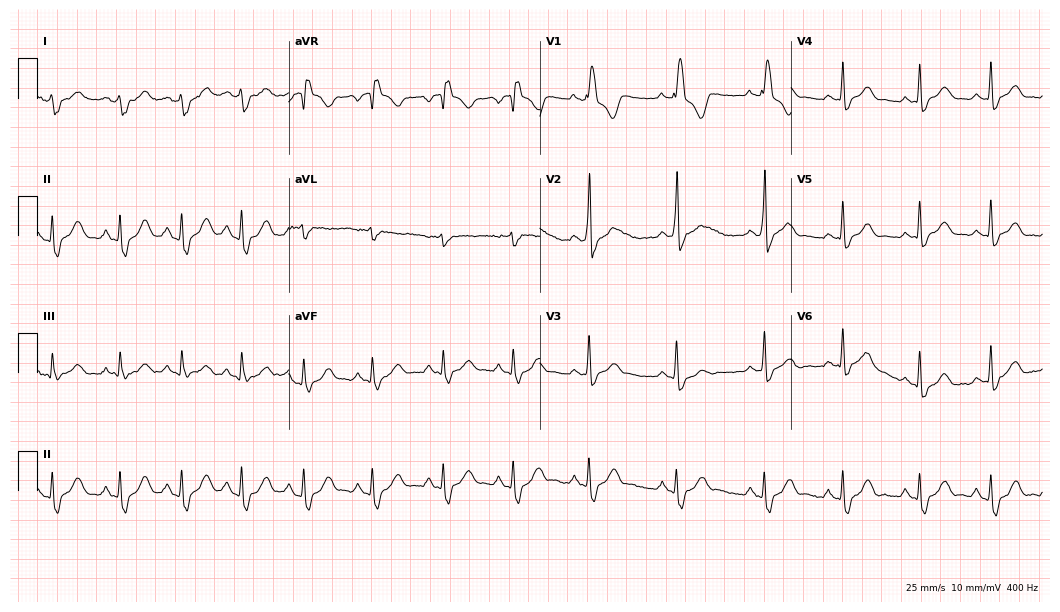
Resting 12-lead electrocardiogram. Patient: a 38-year-old male. The tracing shows right bundle branch block.